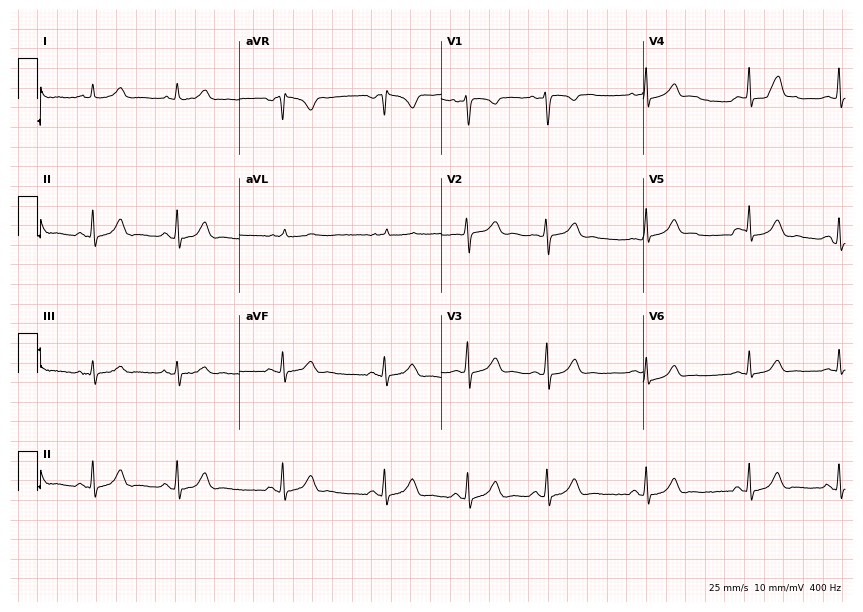
Electrocardiogram, a 23-year-old woman. Overall reading on record: normal ECG.